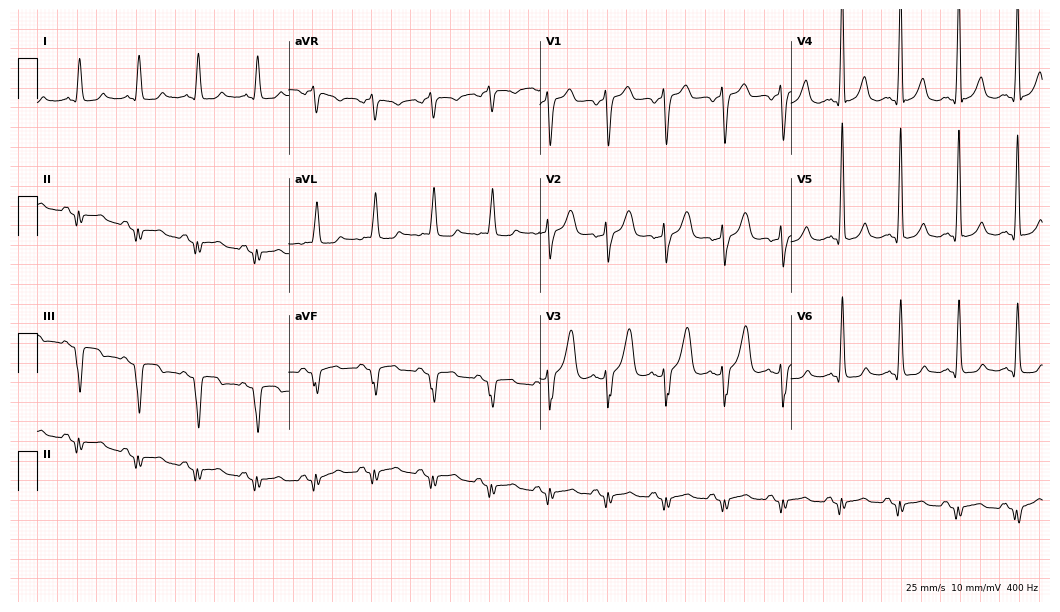
12-lead ECG (10.2-second recording at 400 Hz) from an 81-year-old man. Screened for six findings — first-degree AV block, right bundle branch block, left bundle branch block, sinus bradycardia, atrial fibrillation, sinus tachycardia — none is recorded.